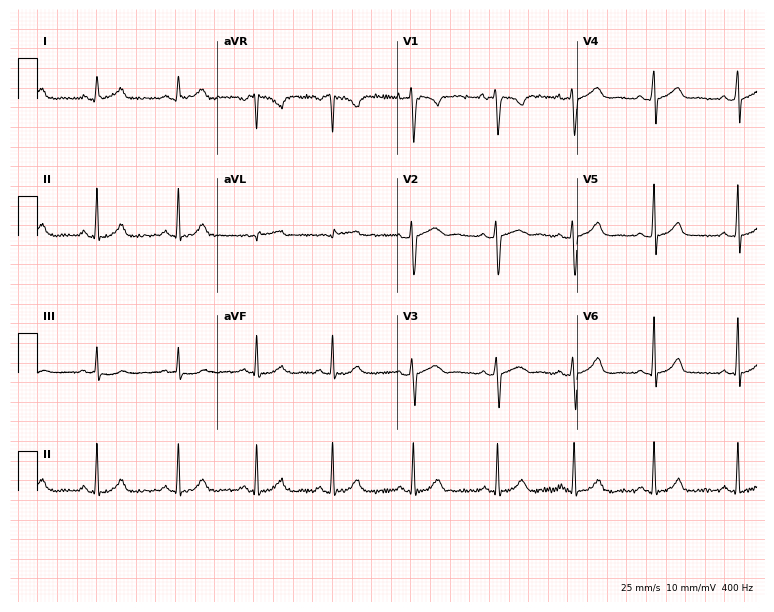
Electrocardiogram (7.3-second recording at 400 Hz), a 23-year-old female. Overall reading on record: normal ECG.